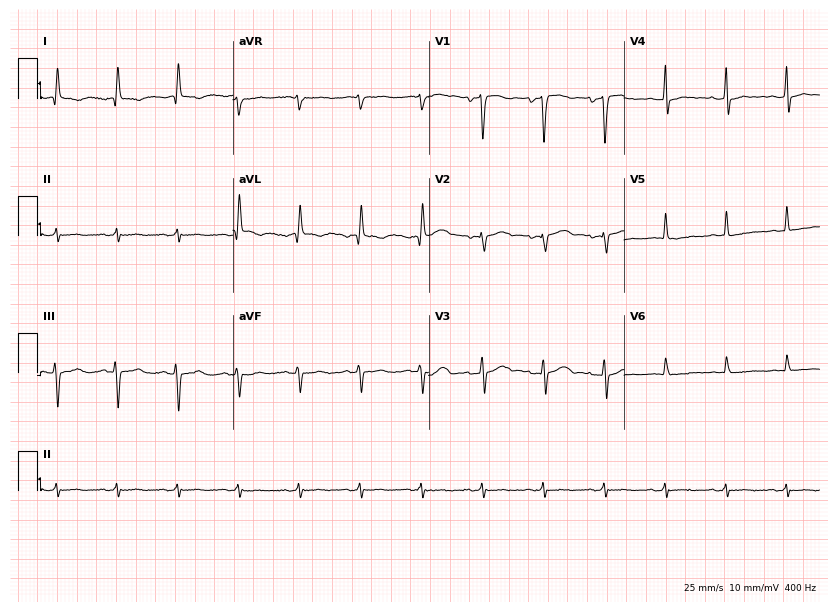
12-lead ECG from a 54-year-old female patient. Screened for six findings — first-degree AV block, right bundle branch block, left bundle branch block, sinus bradycardia, atrial fibrillation, sinus tachycardia — none is recorded. Findings outside these six are not listed.